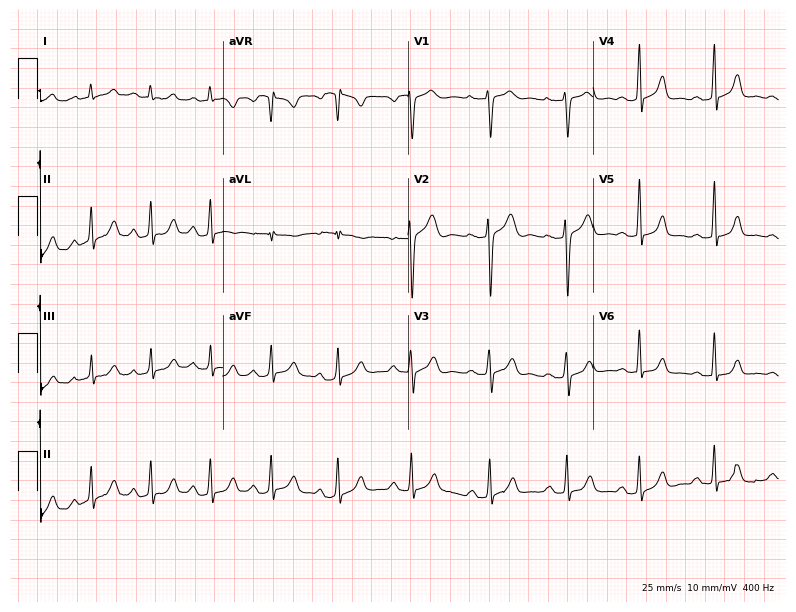
ECG — a female patient, 25 years old. Labelled as a normal ECG.